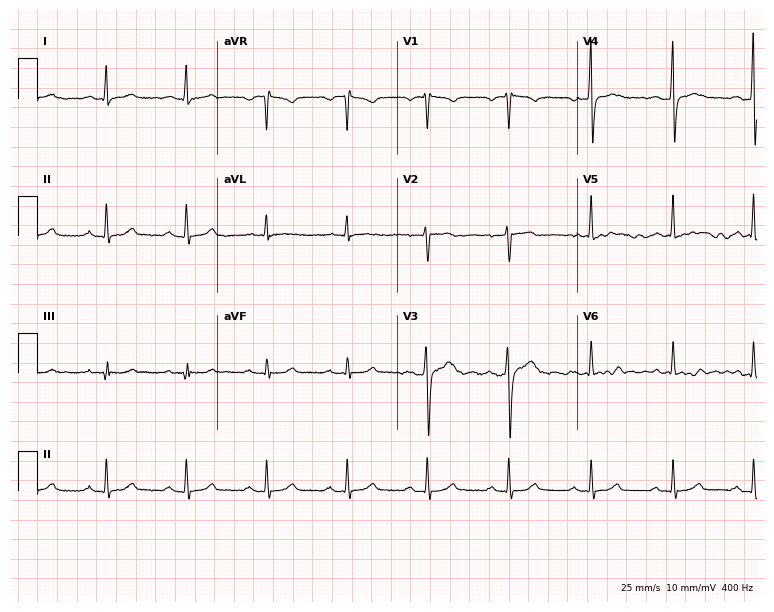
Electrocardiogram (7.3-second recording at 400 Hz), a 47-year-old man. Of the six screened findings (first-degree AV block, right bundle branch block, left bundle branch block, sinus bradycardia, atrial fibrillation, sinus tachycardia), none is recorded.